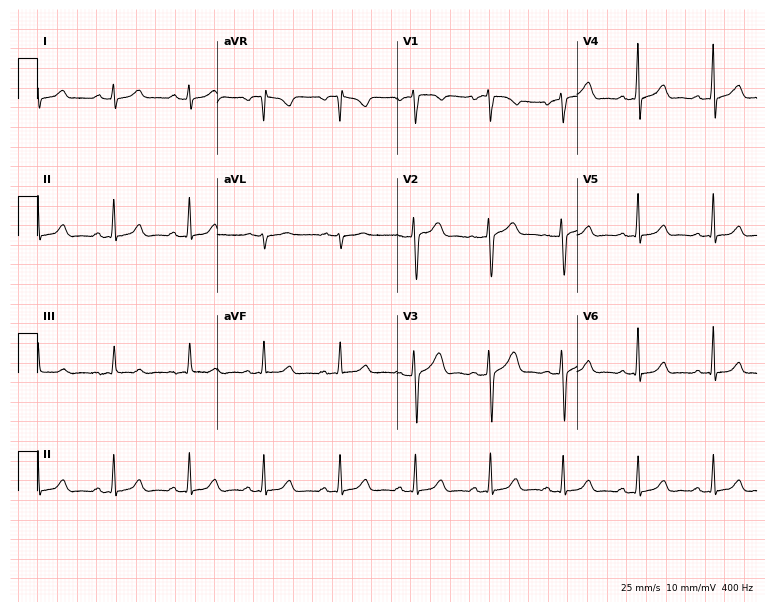
Resting 12-lead electrocardiogram (7.3-second recording at 400 Hz). Patient: a female, 42 years old. Read as a normal ECG.